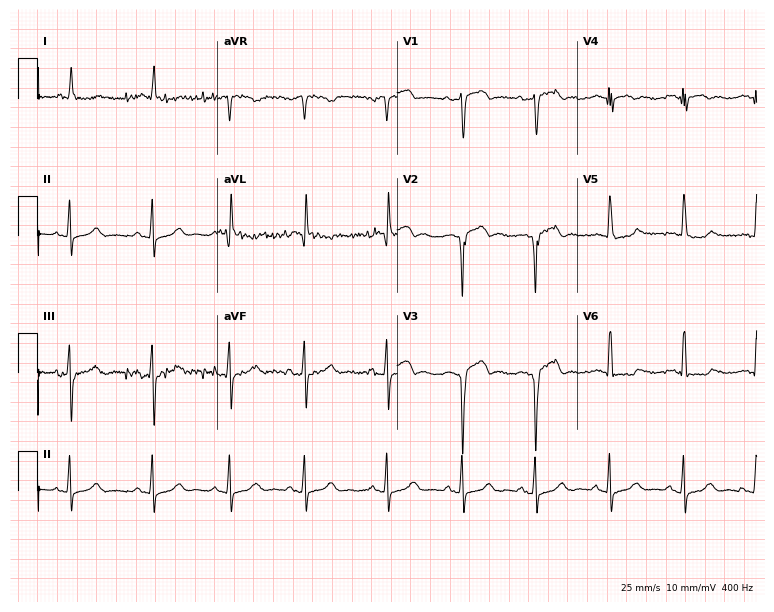
Electrocardiogram (7.3-second recording at 400 Hz), a female patient, 81 years old. Of the six screened findings (first-degree AV block, right bundle branch block (RBBB), left bundle branch block (LBBB), sinus bradycardia, atrial fibrillation (AF), sinus tachycardia), none is recorded. Other findings, if any, are not listed.